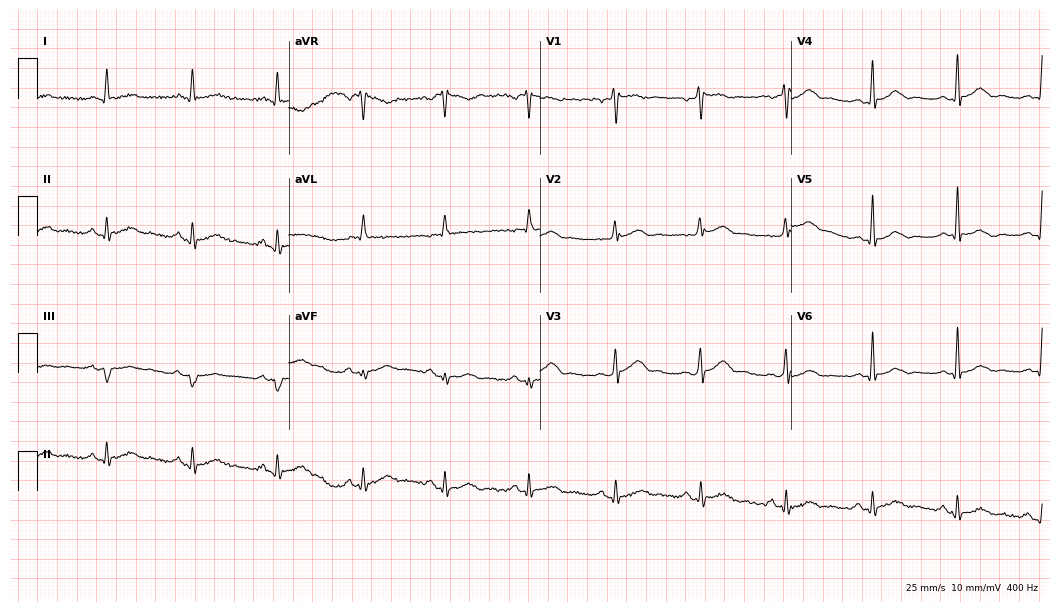
Standard 12-lead ECG recorded from a male, 49 years old (10.2-second recording at 400 Hz). Read as a normal ECG.